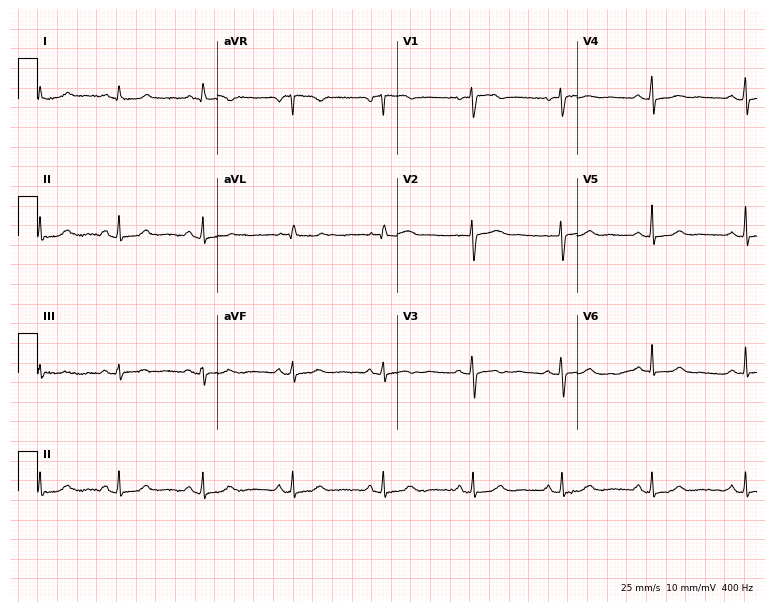
Resting 12-lead electrocardiogram. Patient: a 56-year-old female. None of these six findings is recorded: first-degree AV block, right bundle branch block, left bundle branch block, sinus bradycardia, atrial fibrillation, sinus tachycardia. Only these six findings were labelled.